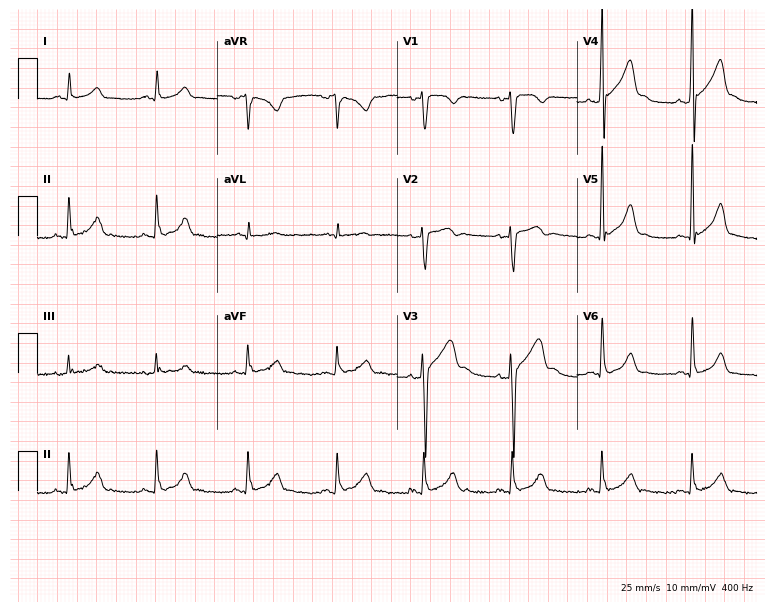
ECG — a 23-year-old male. Labelled as a normal ECG.